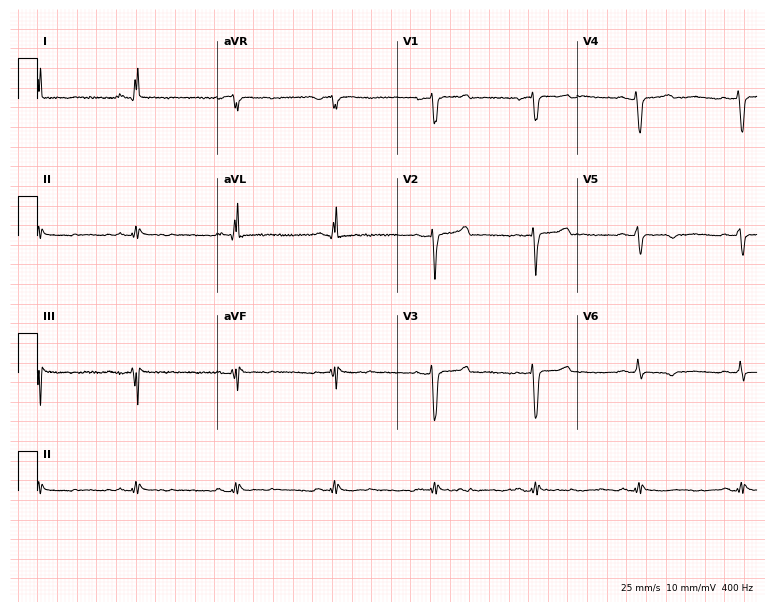
ECG — a female, 35 years old. Labelled as a normal ECG.